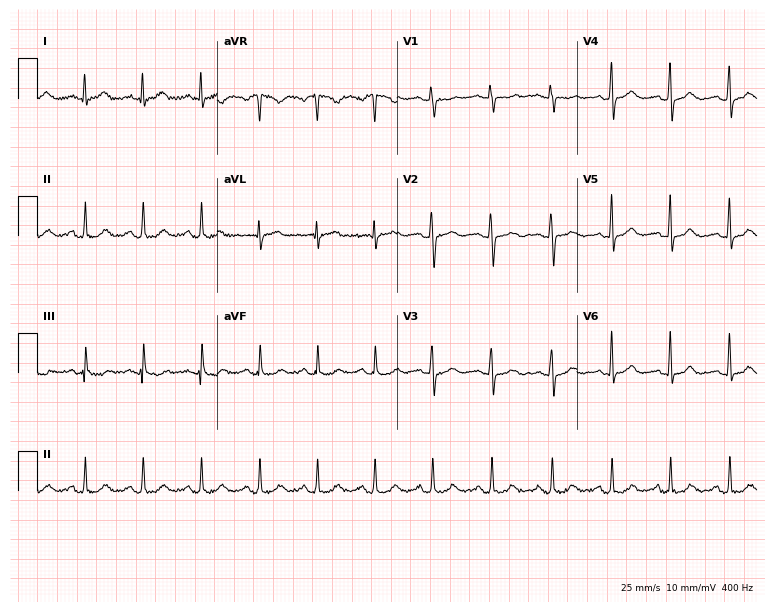
12-lead ECG from a female, 20 years old (7.3-second recording at 400 Hz). Recorded interpretation: within normal limits.